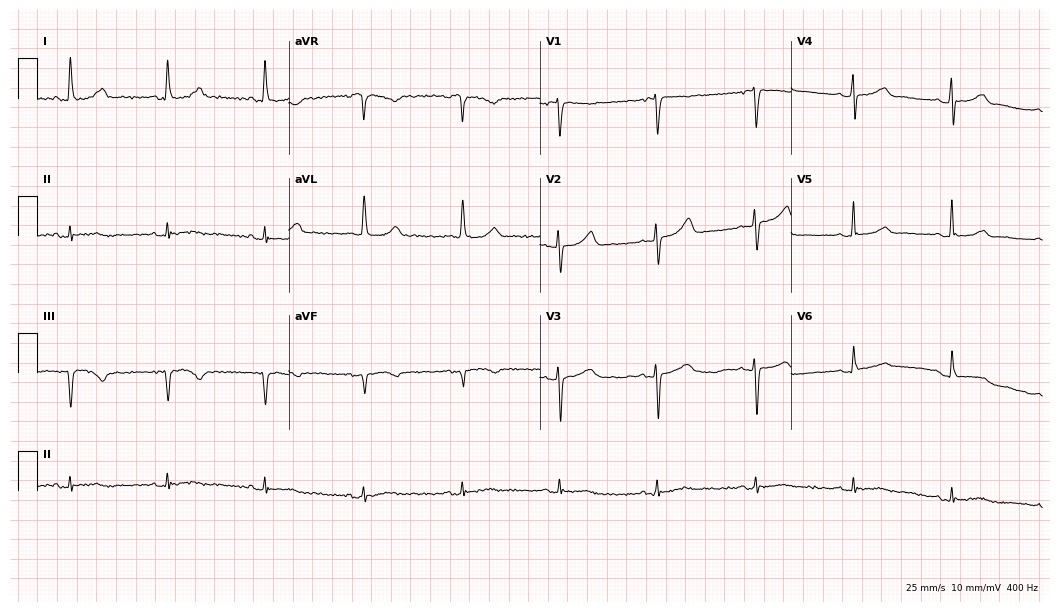
ECG (10.2-second recording at 400 Hz) — a woman, 78 years old. Labelled as a normal ECG.